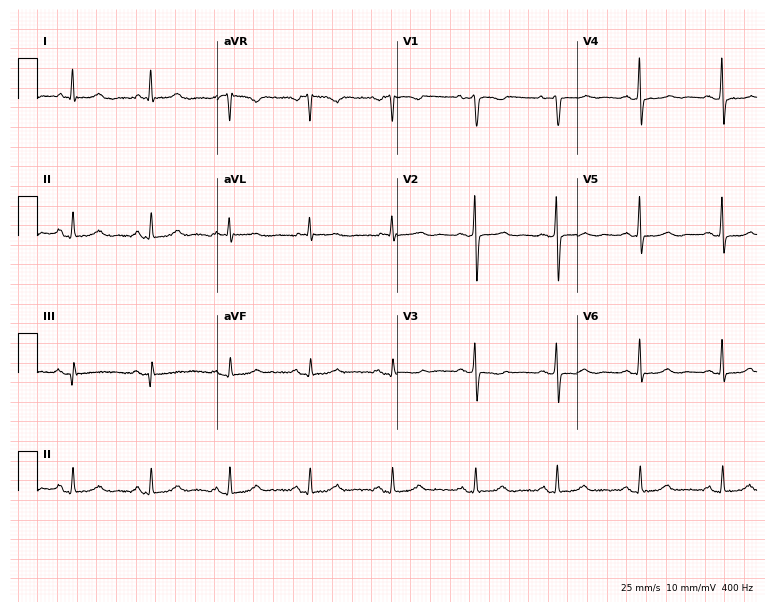
12-lead ECG (7.3-second recording at 400 Hz) from a female patient, 65 years old. Labelled as a normal ECG.